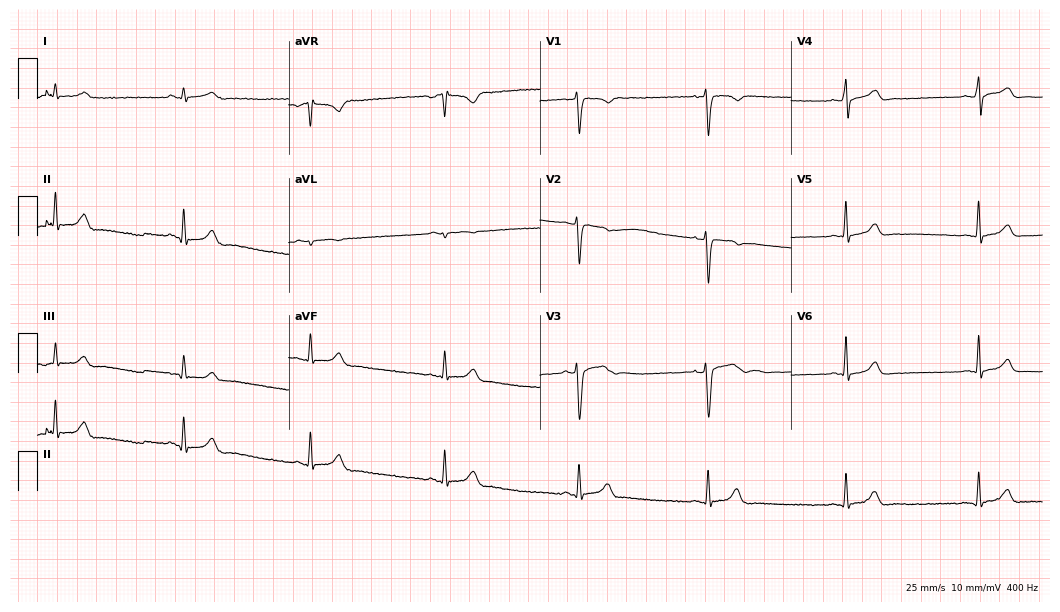
Electrocardiogram, a man, 25 years old. Interpretation includes sinus bradycardia (a sinus rate of 50 beats per minute or less).